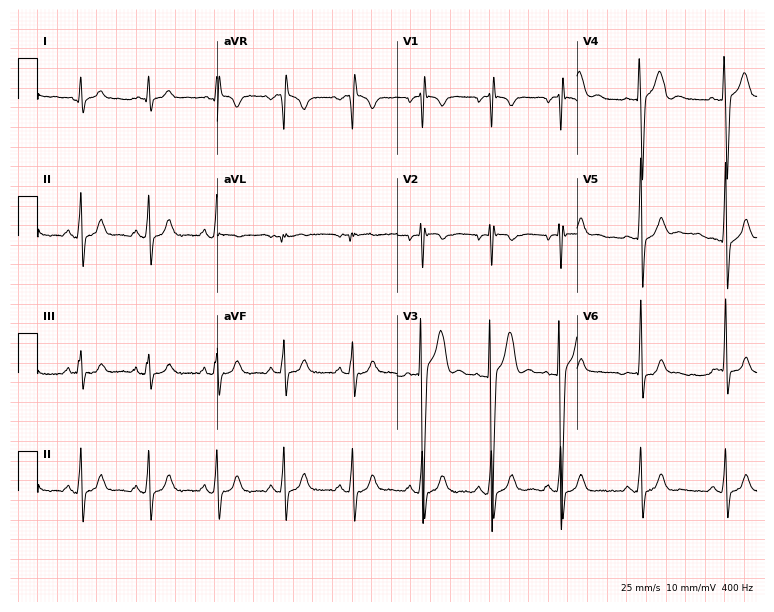
ECG — an 18-year-old man. Screened for six findings — first-degree AV block, right bundle branch block (RBBB), left bundle branch block (LBBB), sinus bradycardia, atrial fibrillation (AF), sinus tachycardia — none is recorded.